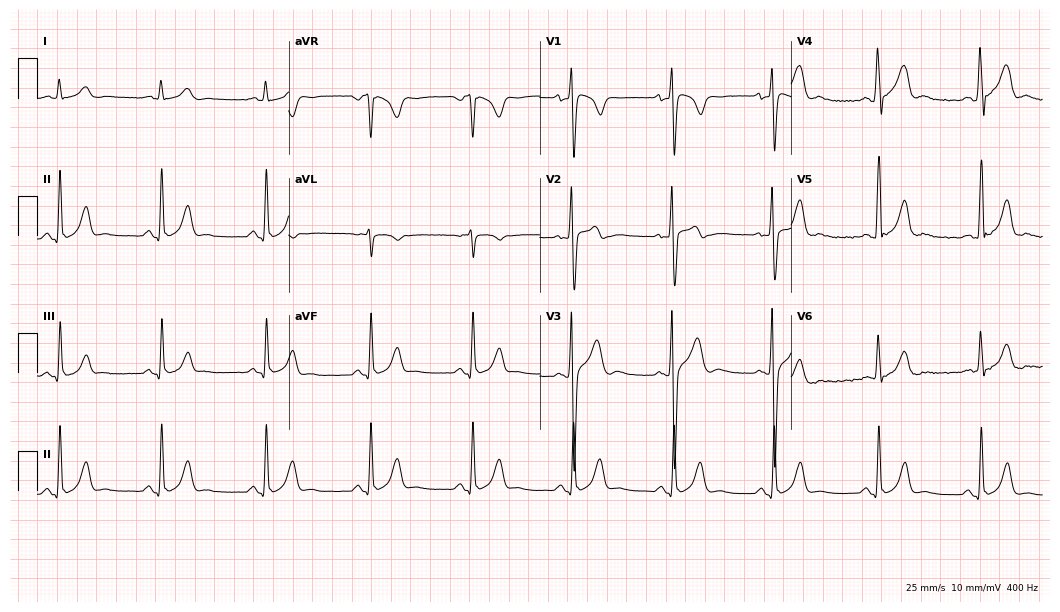
Resting 12-lead electrocardiogram. Patient: a 28-year-old male. None of these six findings is recorded: first-degree AV block, right bundle branch block, left bundle branch block, sinus bradycardia, atrial fibrillation, sinus tachycardia.